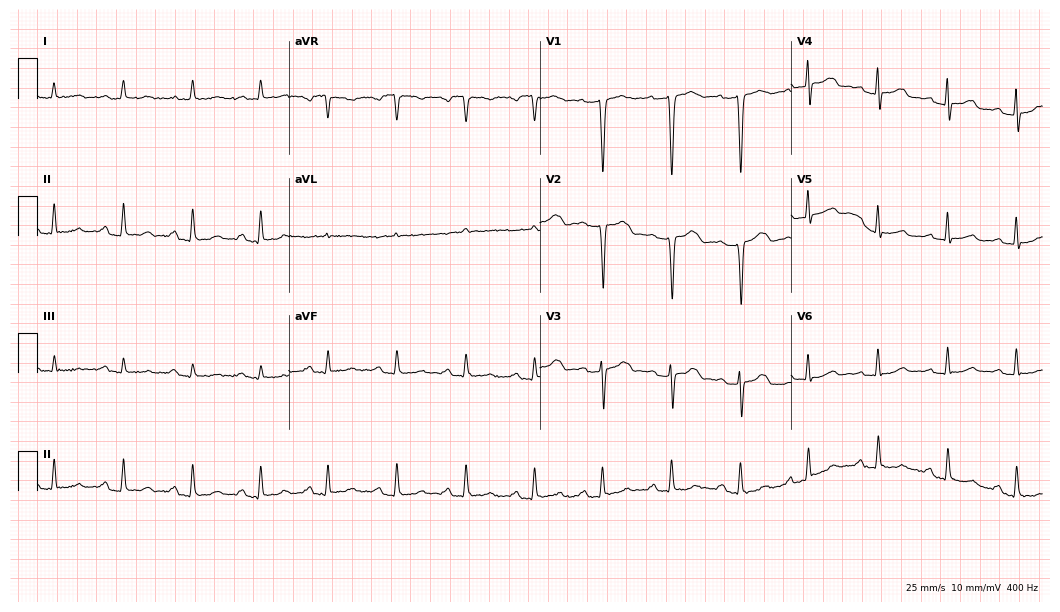
Electrocardiogram (10.2-second recording at 400 Hz), a 74-year-old female patient. Of the six screened findings (first-degree AV block, right bundle branch block, left bundle branch block, sinus bradycardia, atrial fibrillation, sinus tachycardia), none is recorded. Findings outside these six are not listed.